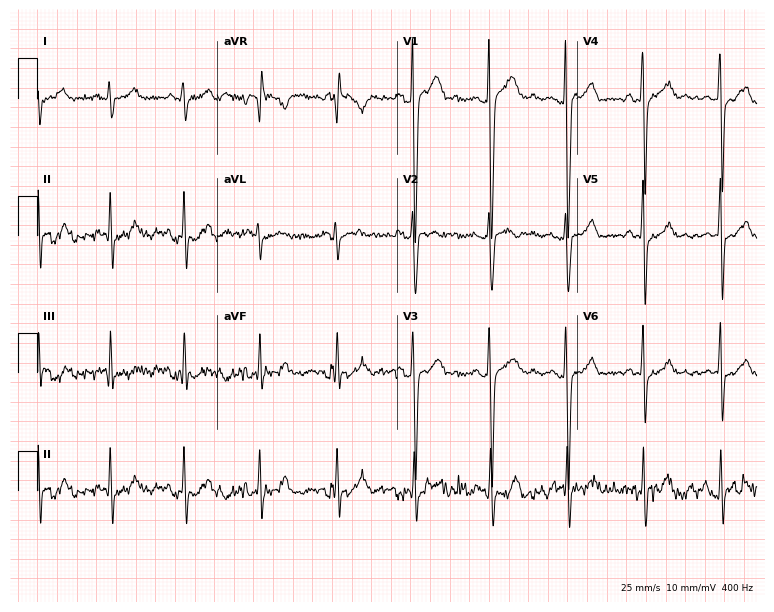
Resting 12-lead electrocardiogram. Patient: a 42-year-old man. None of these six findings is recorded: first-degree AV block, right bundle branch block, left bundle branch block, sinus bradycardia, atrial fibrillation, sinus tachycardia. Only these six findings were labelled.